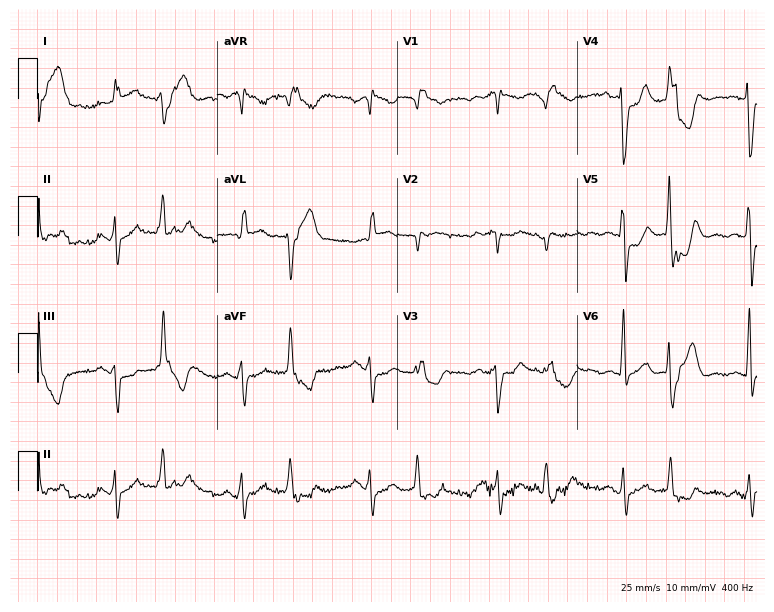
Resting 12-lead electrocardiogram (7.3-second recording at 400 Hz). Patient: a 69-year-old man. None of these six findings is recorded: first-degree AV block, right bundle branch block, left bundle branch block, sinus bradycardia, atrial fibrillation, sinus tachycardia. Other findings, if any, are not listed.